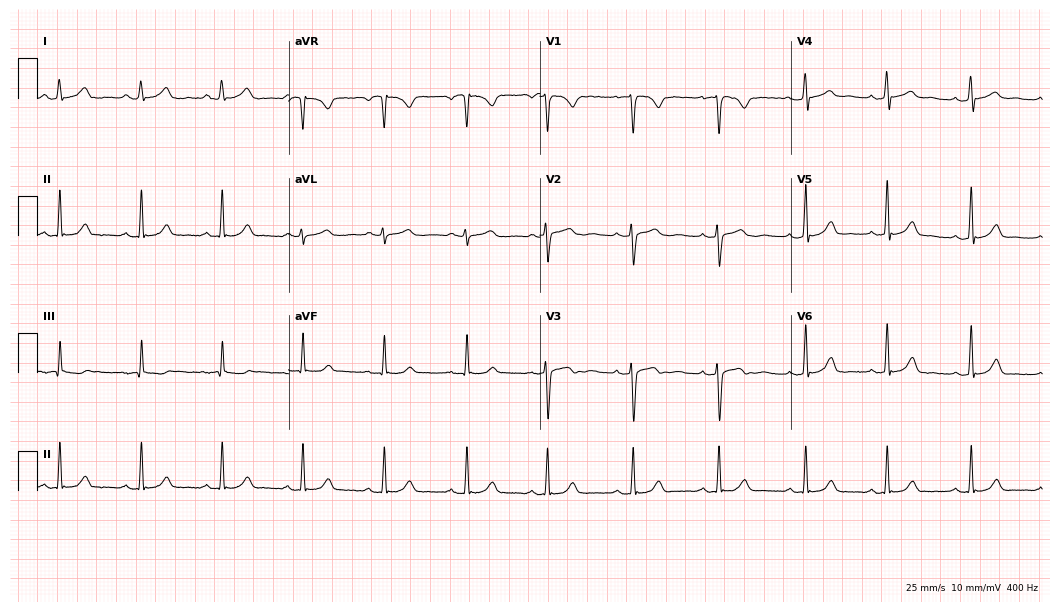
ECG — a 28-year-old woman. Labelled as a normal ECG.